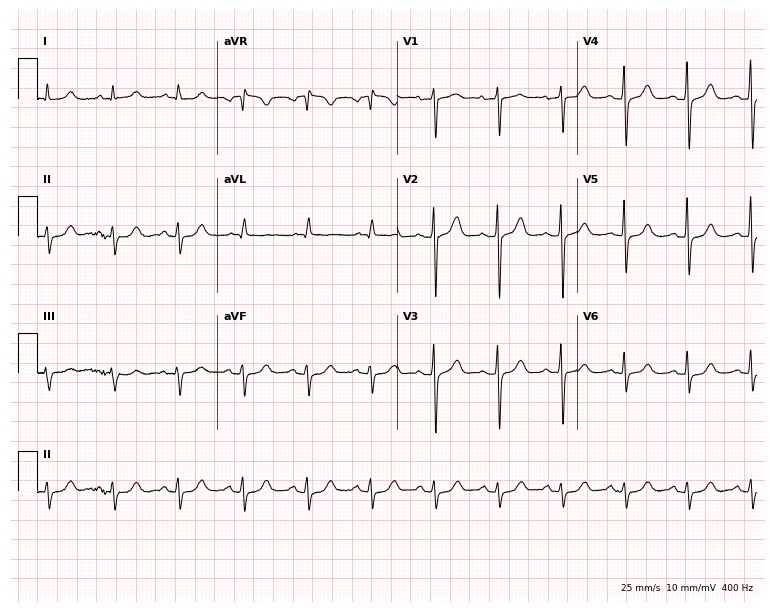
12-lead ECG from a 59-year-old woman (7.3-second recording at 400 Hz). No first-degree AV block, right bundle branch block (RBBB), left bundle branch block (LBBB), sinus bradycardia, atrial fibrillation (AF) or sinus tachycardia recorded for this tracing.